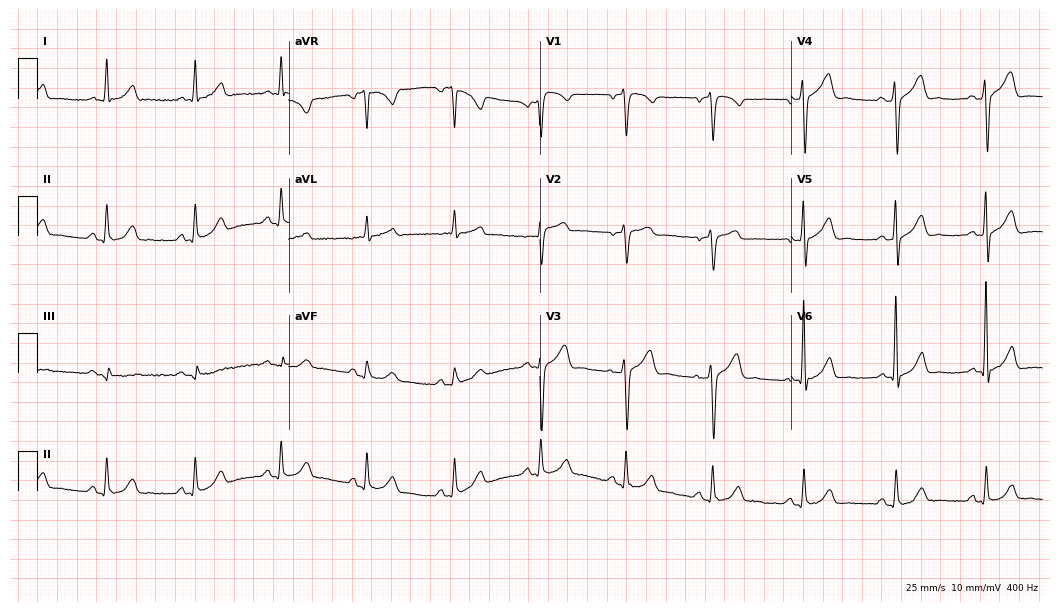
12-lead ECG from a 48-year-old male (10.2-second recording at 400 Hz). No first-degree AV block, right bundle branch block (RBBB), left bundle branch block (LBBB), sinus bradycardia, atrial fibrillation (AF) or sinus tachycardia recorded for this tracing.